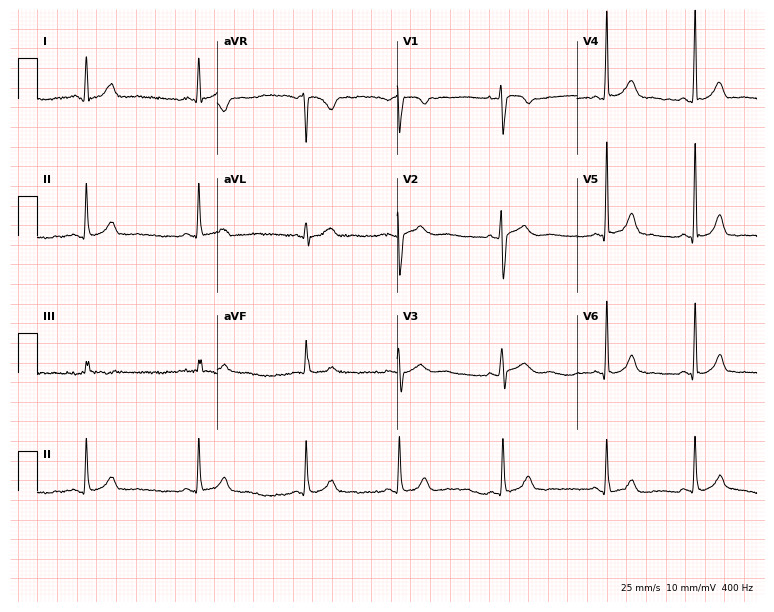
12-lead ECG from a woman, 23 years old. No first-degree AV block, right bundle branch block (RBBB), left bundle branch block (LBBB), sinus bradycardia, atrial fibrillation (AF) or sinus tachycardia recorded for this tracing.